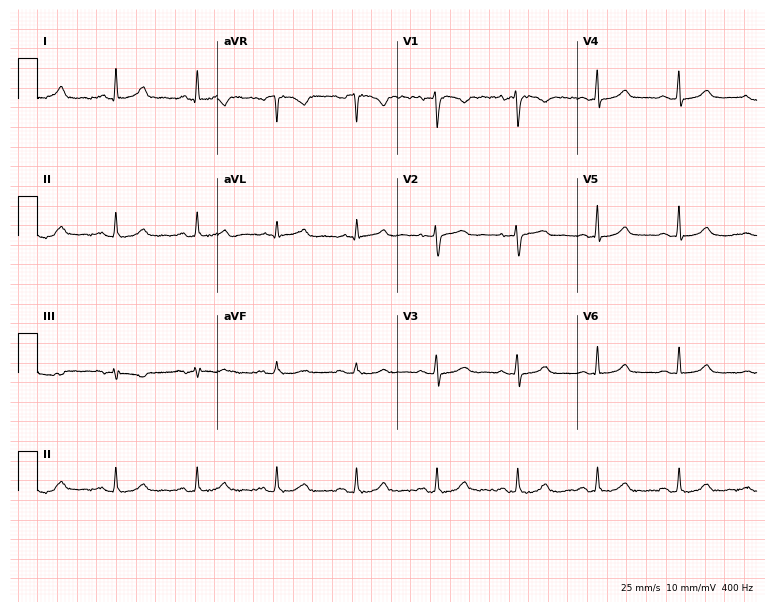
Resting 12-lead electrocardiogram (7.3-second recording at 400 Hz). Patient: a female, 54 years old. Read as a normal ECG.